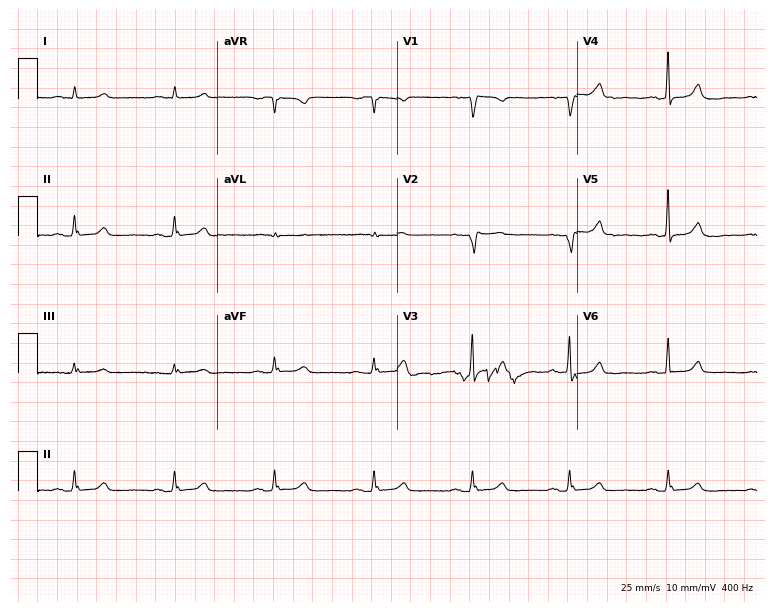
12-lead ECG (7.3-second recording at 400 Hz) from a 63-year-old female patient. Labelled as a normal ECG.